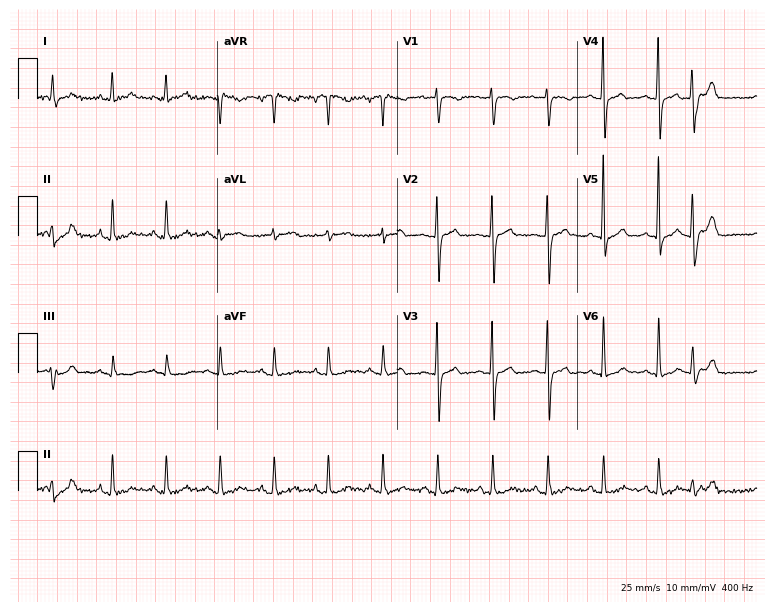
12-lead ECG from a 55-year-old female patient. Findings include sinus tachycardia (a sinus rate of 100 beats per minute or more).